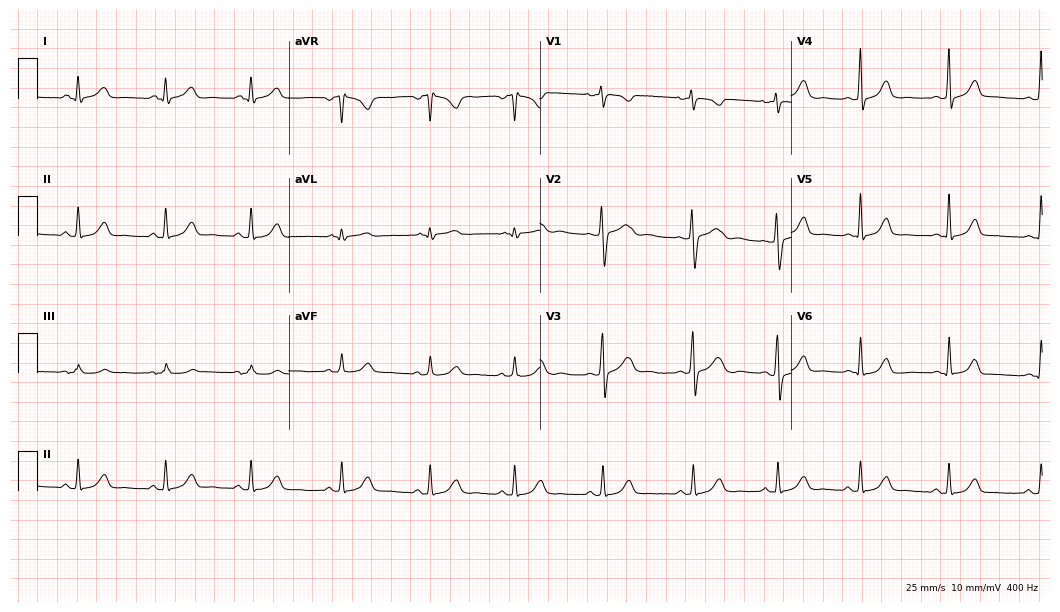
Electrocardiogram (10.2-second recording at 400 Hz), a 34-year-old female patient. Of the six screened findings (first-degree AV block, right bundle branch block (RBBB), left bundle branch block (LBBB), sinus bradycardia, atrial fibrillation (AF), sinus tachycardia), none is recorded. Other findings, if any, are not listed.